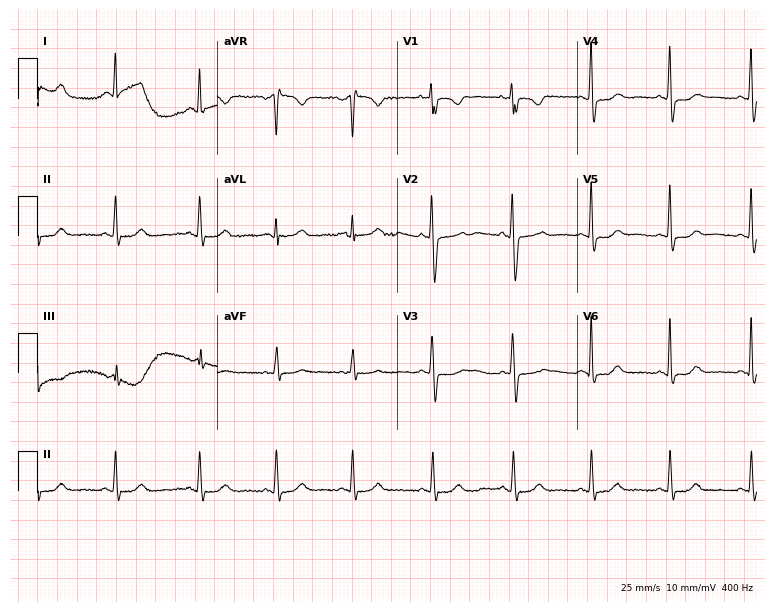
12-lead ECG from a female, 35 years old. No first-degree AV block, right bundle branch block (RBBB), left bundle branch block (LBBB), sinus bradycardia, atrial fibrillation (AF) or sinus tachycardia recorded for this tracing.